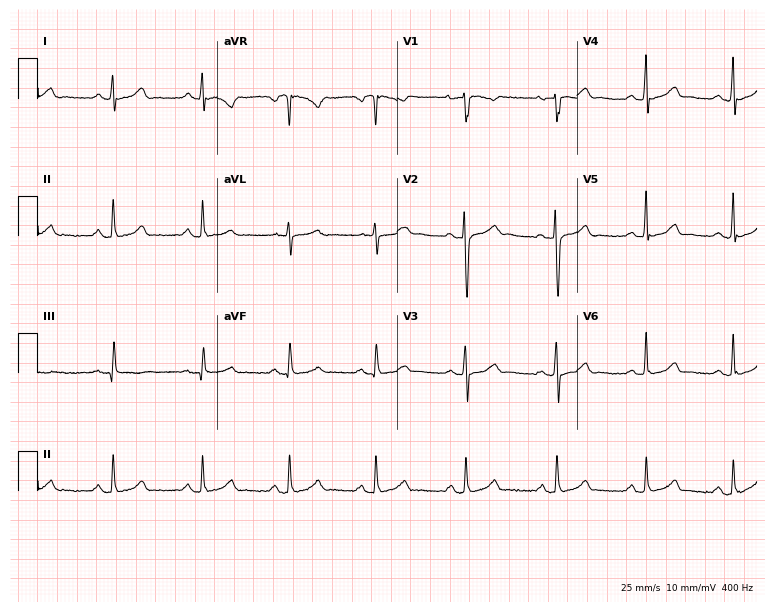
12-lead ECG from a 59-year-old male patient (7.3-second recording at 400 Hz). No first-degree AV block, right bundle branch block, left bundle branch block, sinus bradycardia, atrial fibrillation or sinus tachycardia recorded for this tracing.